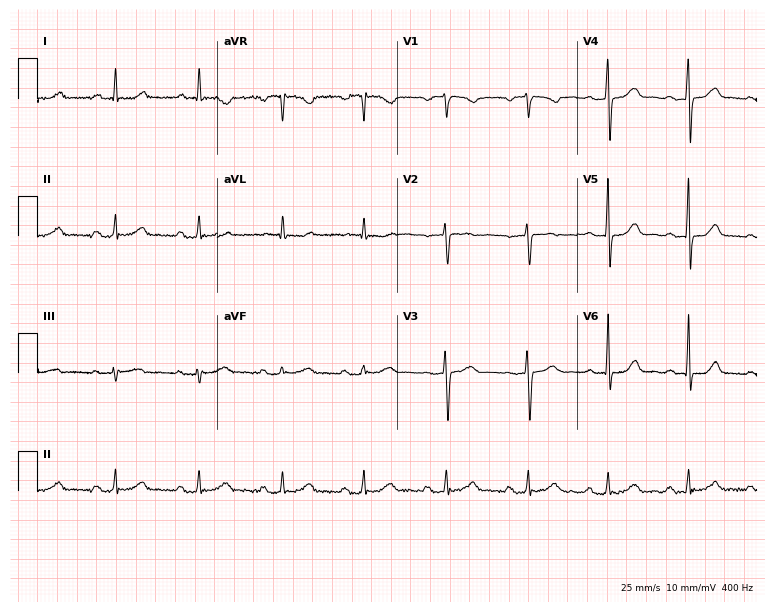
12-lead ECG from a 50-year-old woman. No first-degree AV block, right bundle branch block (RBBB), left bundle branch block (LBBB), sinus bradycardia, atrial fibrillation (AF) or sinus tachycardia recorded for this tracing. Findings outside these six are not listed.